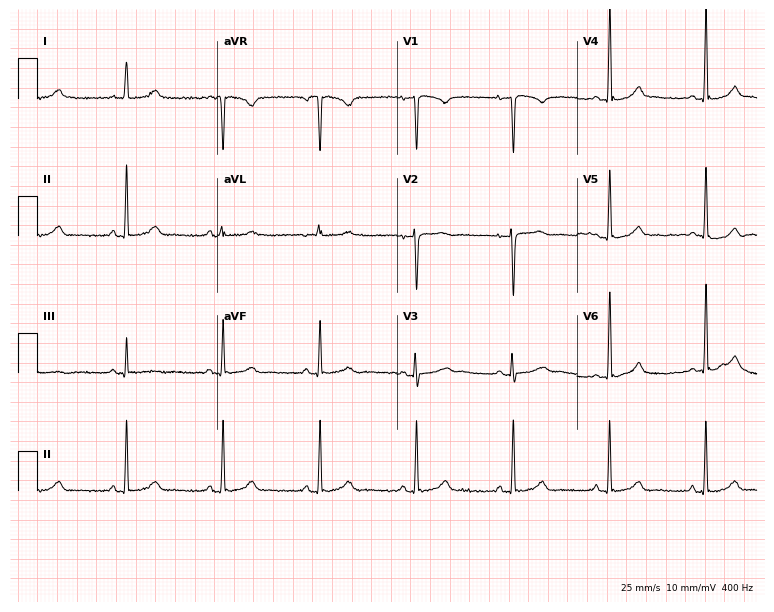
ECG (7.3-second recording at 400 Hz) — a female patient, 20 years old. Screened for six findings — first-degree AV block, right bundle branch block, left bundle branch block, sinus bradycardia, atrial fibrillation, sinus tachycardia — none is recorded. Other findings, if any, are not listed.